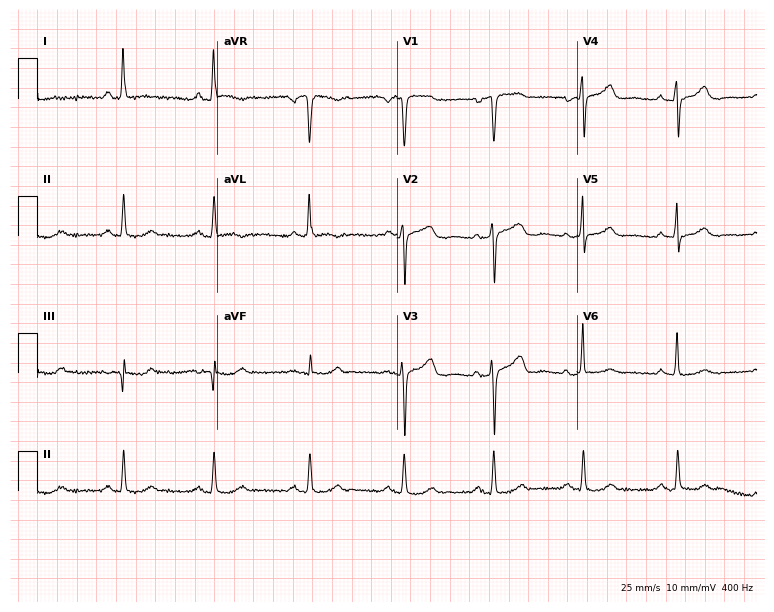
Electrocardiogram, a female patient, 58 years old. Of the six screened findings (first-degree AV block, right bundle branch block, left bundle branch block, sinus bradycardia, atrial fibrillation, sinus tachycardia), none is recorded. Only these six findings were labelled.